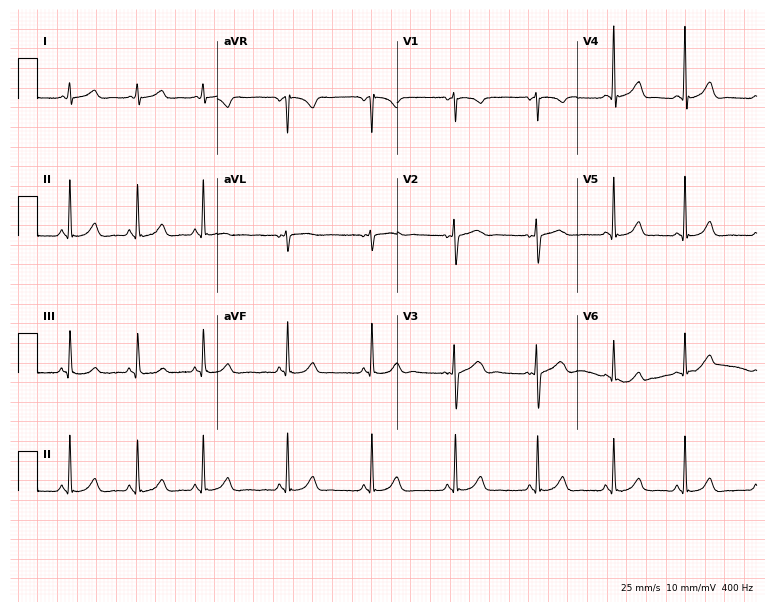
Electrocardiogram (7.3-second recording at 400 Hz), an 18-year-old female patient. Of the six screened findings (first-degree AV block, right bundle branch block (RBBB), left bundle branch block (LBBB), sinus bradycardia, atrial fibrillation (AF), sinus tachycardia), none is recorded. Findings outside these six are not listed.